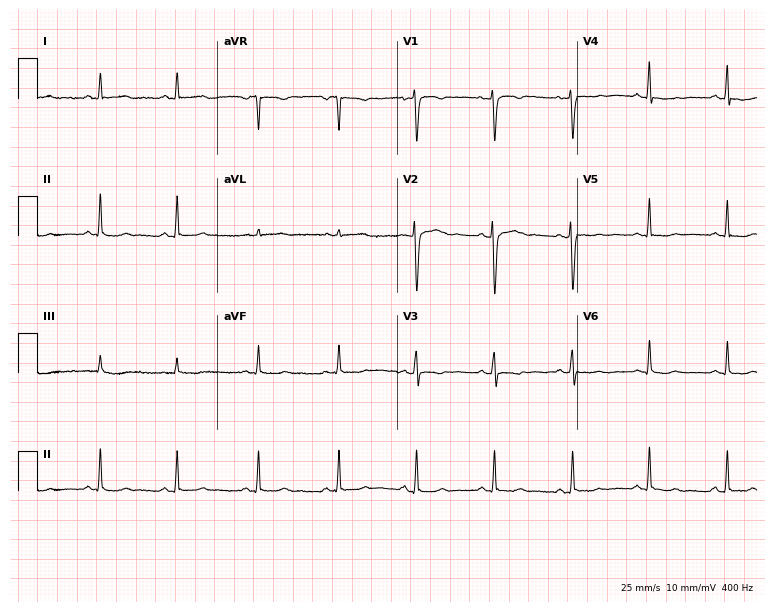
12-lead ECG from a woman, 39 years old (7.3-second recording at 400 Hz). No first-degree AV block, right bundle branch block, left bundle branch block, sinus bradycardia, atrial fibrillation or sinus tachycardia recorded for this tracing. Findings outside these six are not listed.